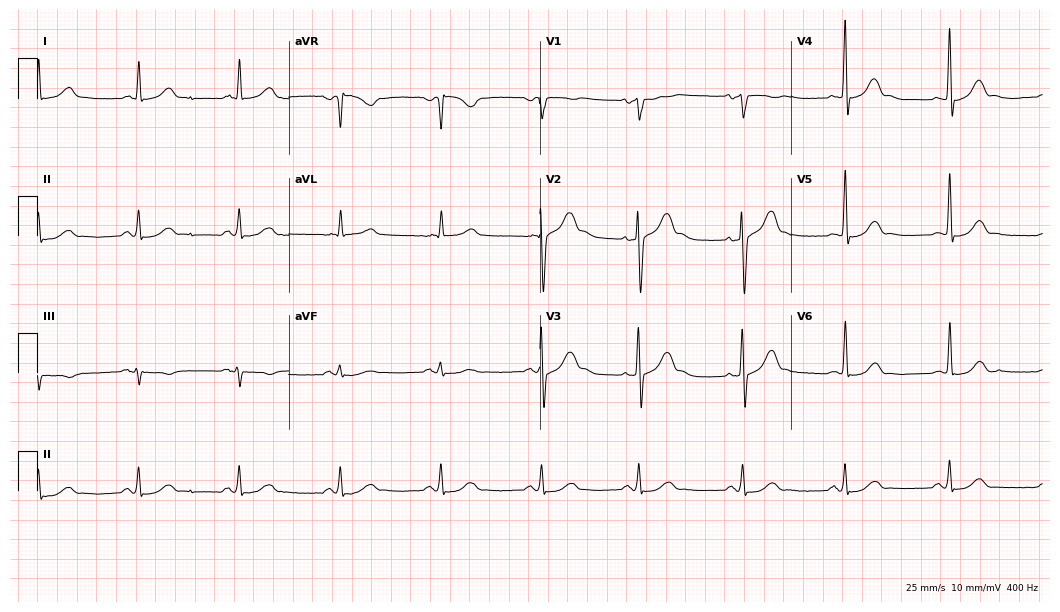
Electrocardiogram, a 57-year-old man. Overall reading on record: normal ECG.